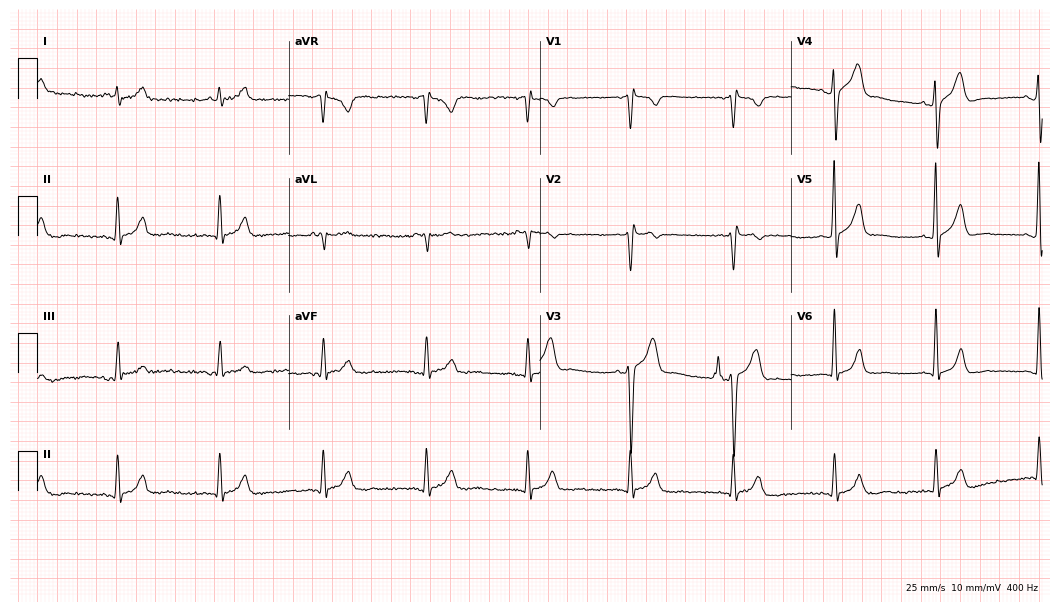
Resting 12-lead electrocardiogram (10.2-second recording at 400 Hz). Patient: an 82-year-old male. Read as a normal ECG.